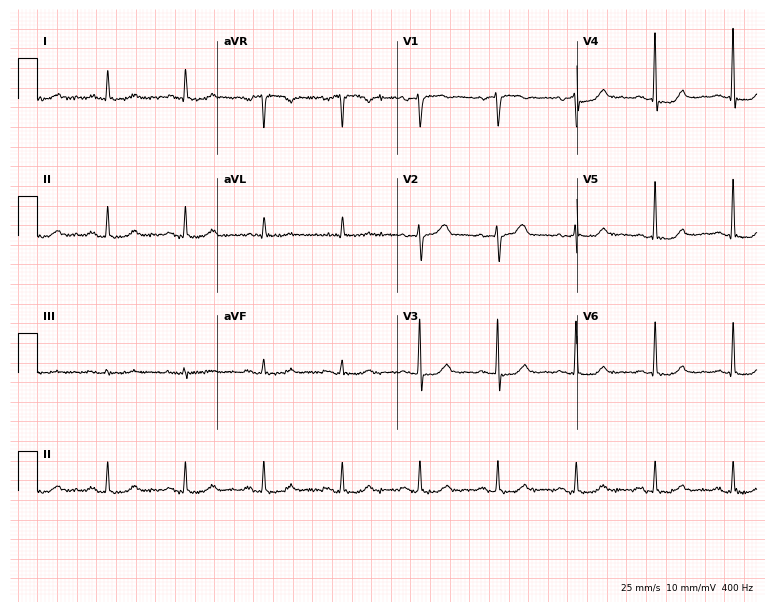
Electrocardiogram, a woman, 75 years old. Overall reading on record: normal ECG.